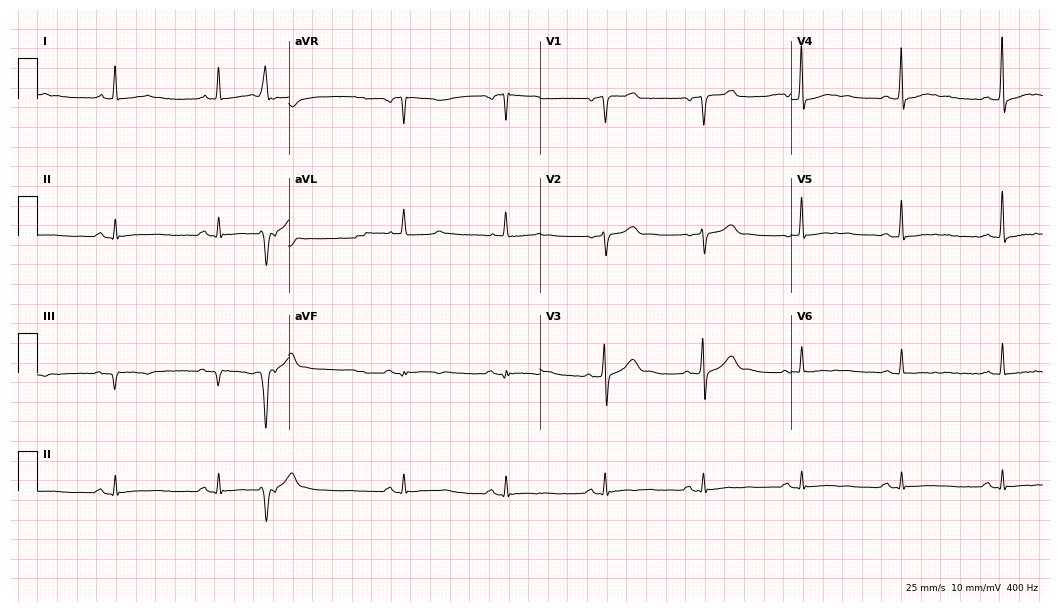
12-lead ECG from a 75-year-old male. No first-degree AV block, right bundle branch block, left bundle branch block, sinus bradycardia, atrial fibrillation or sinus tachycardia recorded for this tracing. Only these six findings were labelled.